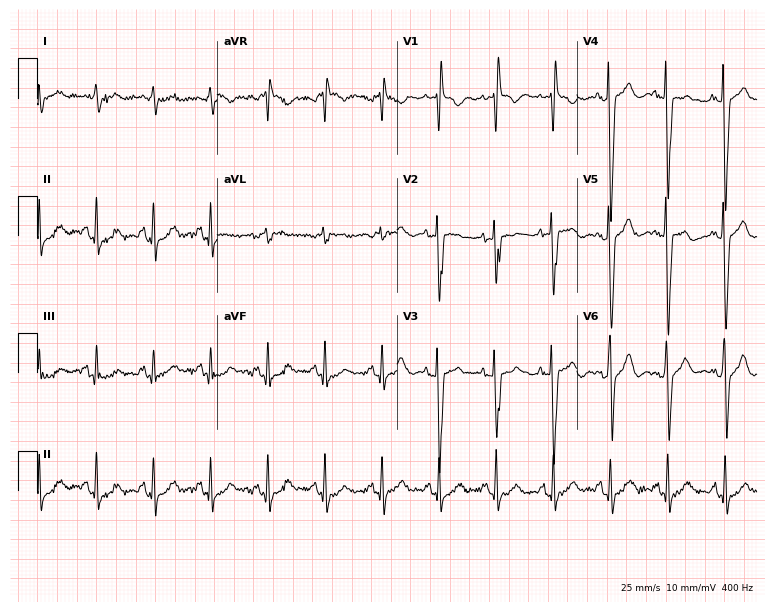
12-lead ECG (7.3-second recording at 400 Hz) from a male patient, 81 years old. Screened for six findings — first-degree AV block, right bundle branch block (RBBB), left bundle branch block (LBBB), sinus bradycardia, atrial fibrillation (AF), sinus tachycardia — none is recorded. Findings outside these six are not listed.